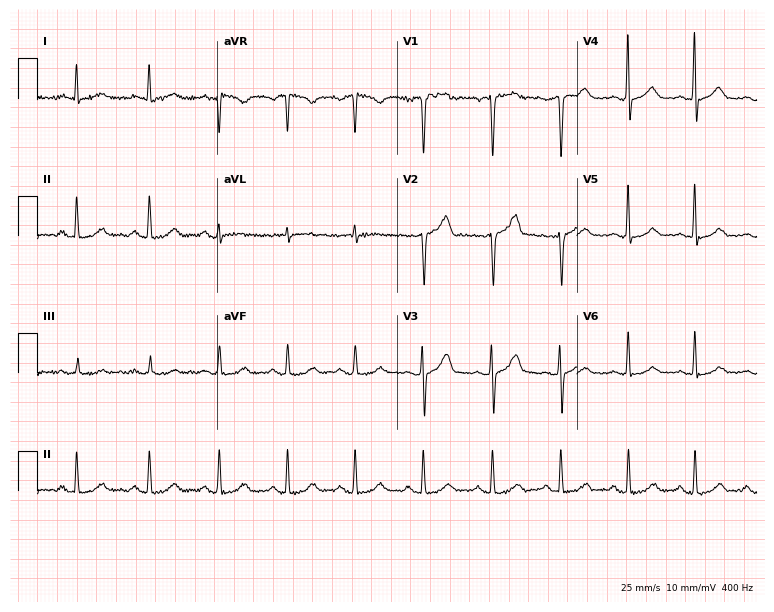
Standard 12-lead ECG recorded from a male, 57 years old (7.3-second recording at 400 Hz). Read as a normal ECG.